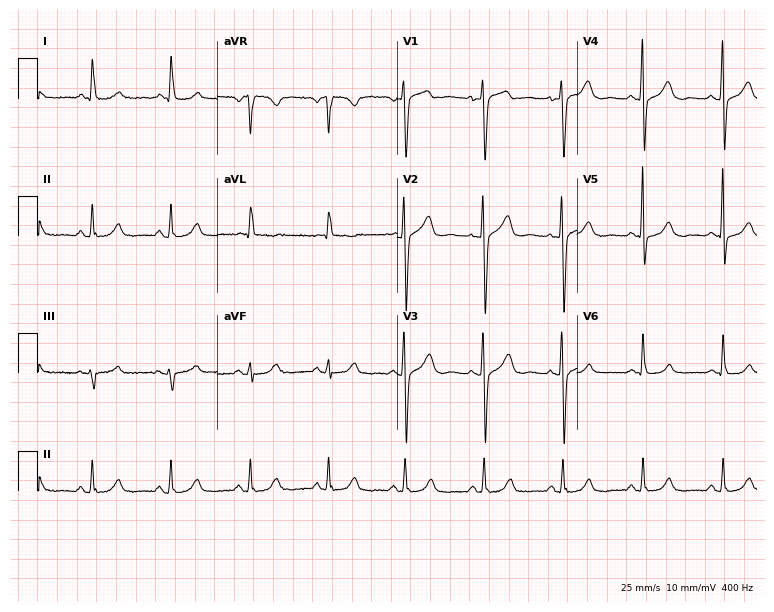
Resting 12-lead electrocardiogram. Patient: a woman, 64 years old. Read as a normal ECG.